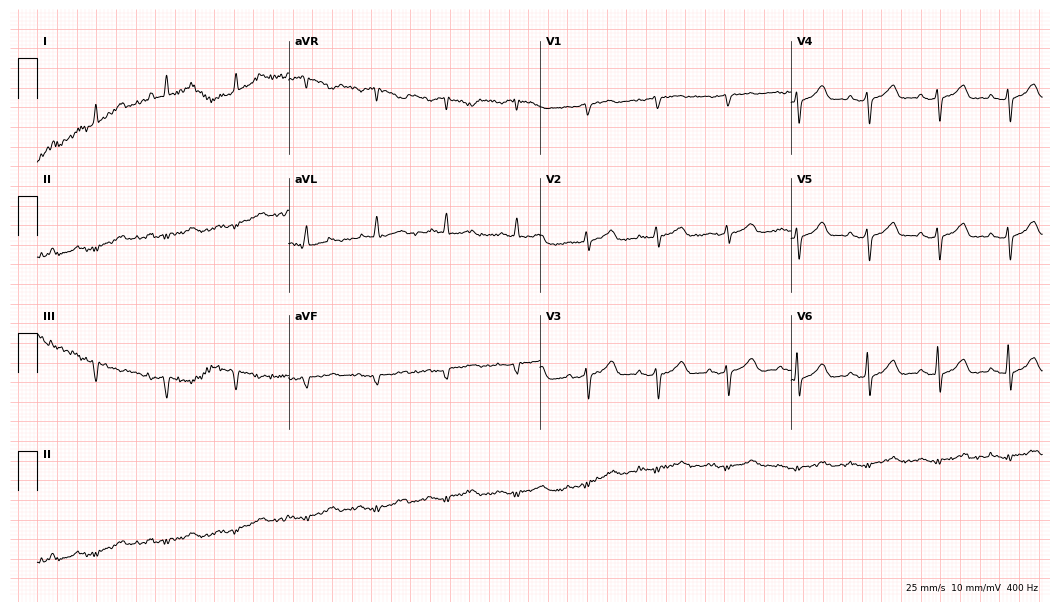
Electrocardiogram, a 77-year-old man. Of the six screened findings (first-degree AV block, right bundle branch block, left bundle branch block, sinus bradycardia, atrial fibrillation, sinus tachycardia), none is recorded.